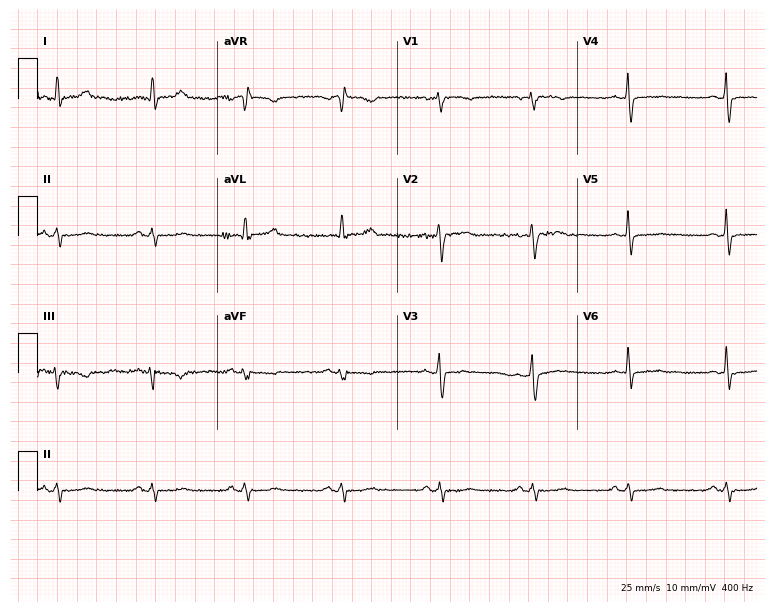
Standard 12-lead ECG recorded from a female, 42 years old (7.3-second recording at 400 Hz). None of these six findings is recorded: first-degree AV block, right bundle branch block, left bundle branch block, sinus bradycardia, atrial fibrillation, sinus tachycardia. Only these six findings were labelled.